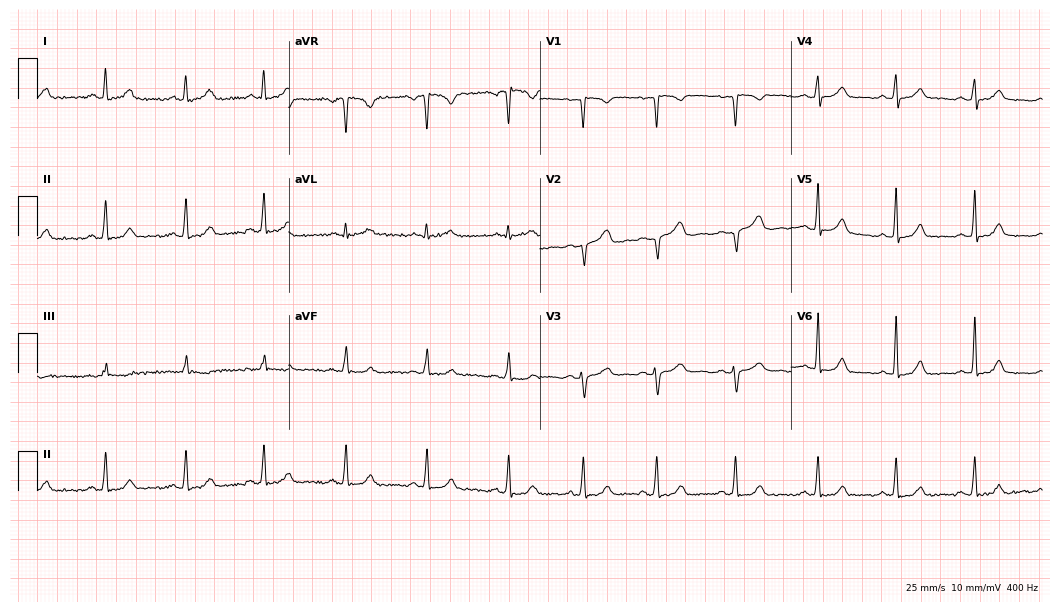
ECG — a female, 25 years old. Screened for six findings — first-degree AV block, right bundle branch block (RBBB), left bundle branch block (LBBB), sinus bradycardia, atrial fibrillation (AF), sinus tachycardia — none is recorded. Other findings, if any, are not listed.